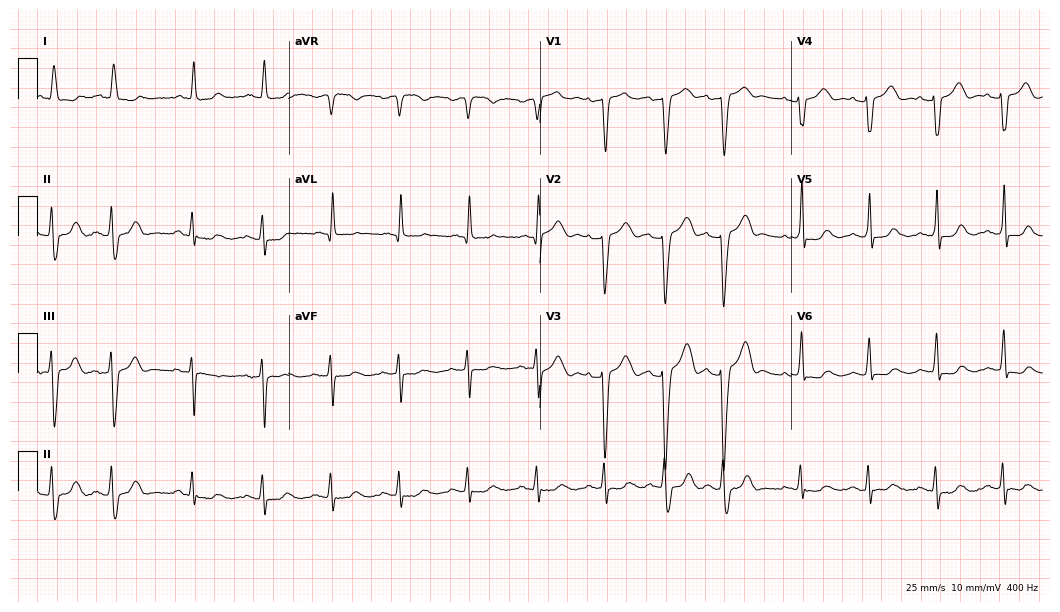
Standard 12-lead ECG recorded from a 76-year-old female patient (10.2-second recording at 400 Hz). None of these six findings is recorded: first-degree AV block, right bundle branch block (RBBB), left bundle branch block (LBBB), sinus bradycardia, atrial fibrillation (AF), sinus tachycardia.